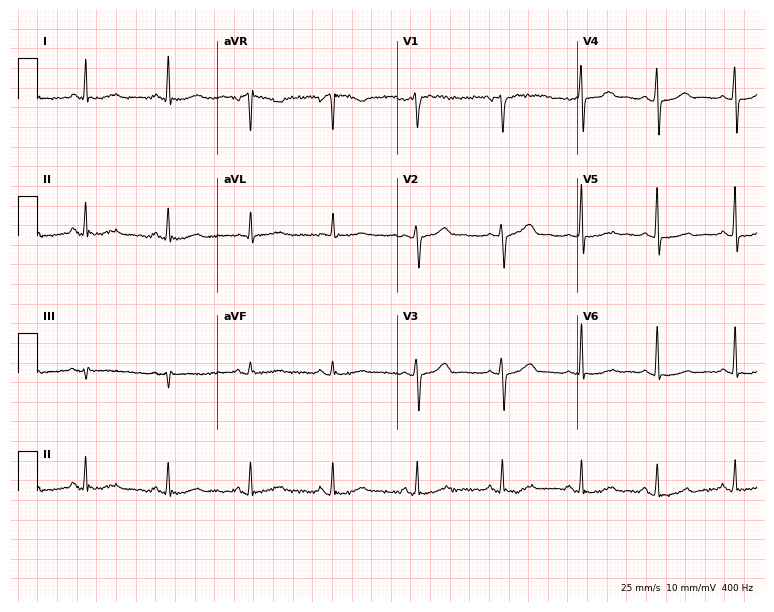
12-lead ECG from a female patient, 63 years old (7.3-second recording at 400 Hz). Recorded interpretation: within normal limits.